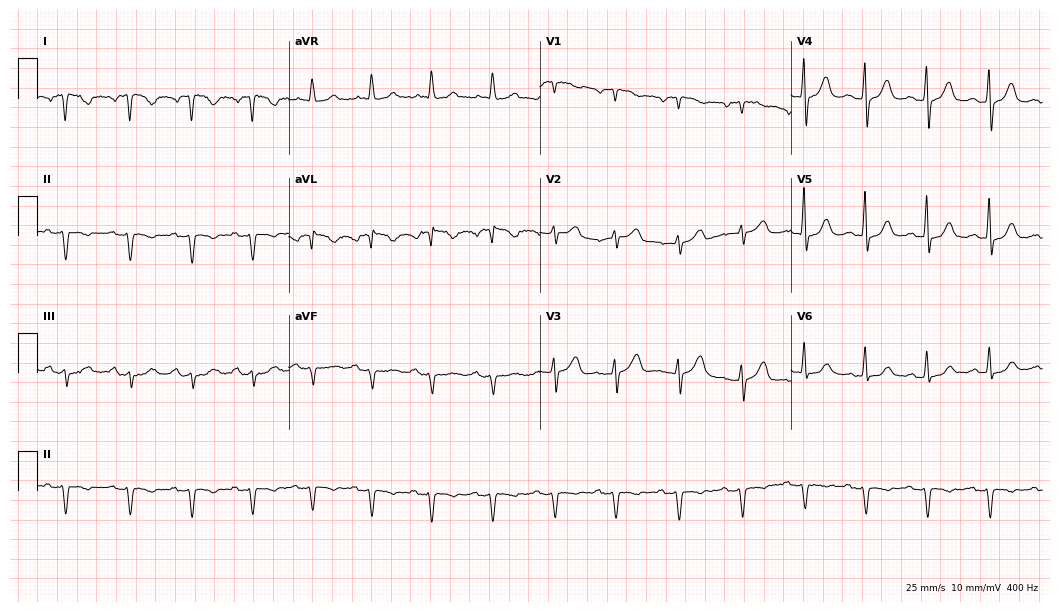
Standard 12-lead ECG recorded from a woman, 56 years old. None of these six findings is recorded: first-degree AV block, right bundle branch block (RBBB), left bundle branch block (LBBB), sinus bradycardia, atrial fibrillation (AF), sinus tachycardia. Findings outside these six are not listed.